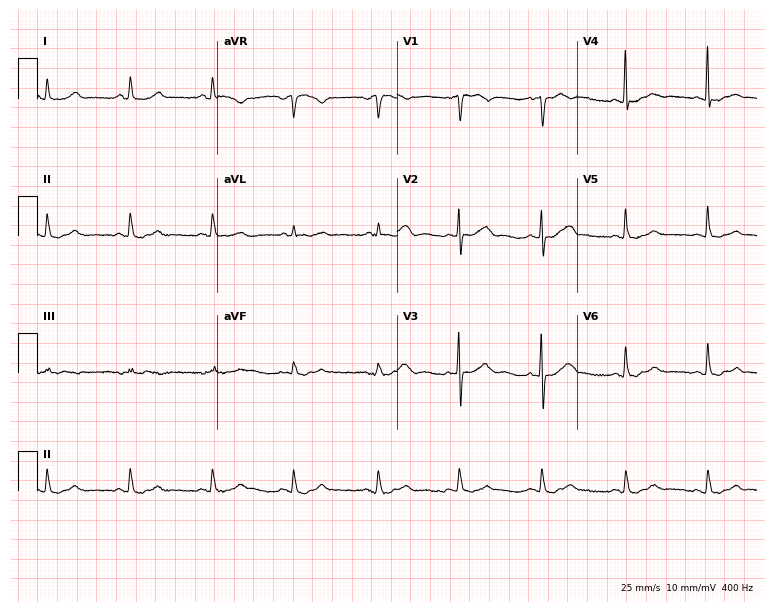
12-lead ECG from a woman, 77 years old (7.3-second recording at 400 Hz). No first-degree AV block, right bundle branch block, left bundle branch block, sinus bradycardia, atrial fibrillation or sinus tachycardia recorded for this tracing. Findings outside these six are not listed.